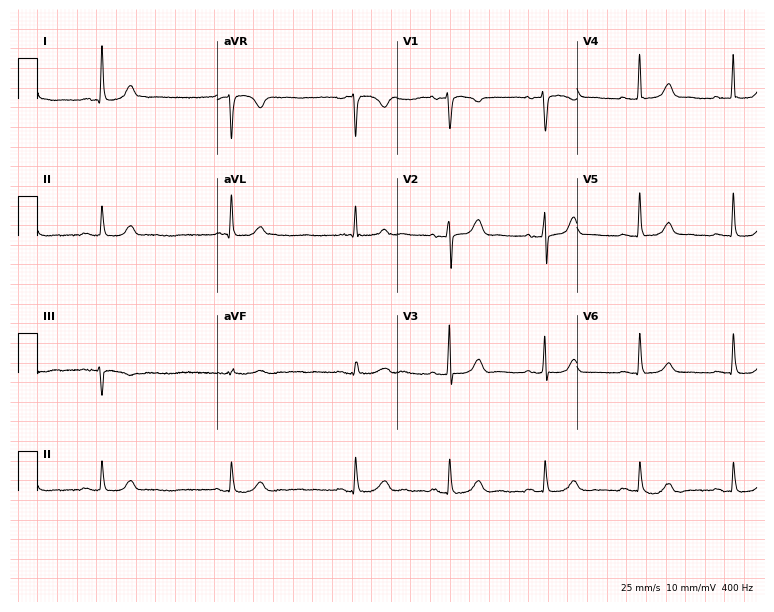
Electrocardiogram (7.3-second recording at 400 Hz), a woman, 72 years old. Overall reading on record: normal ECG.